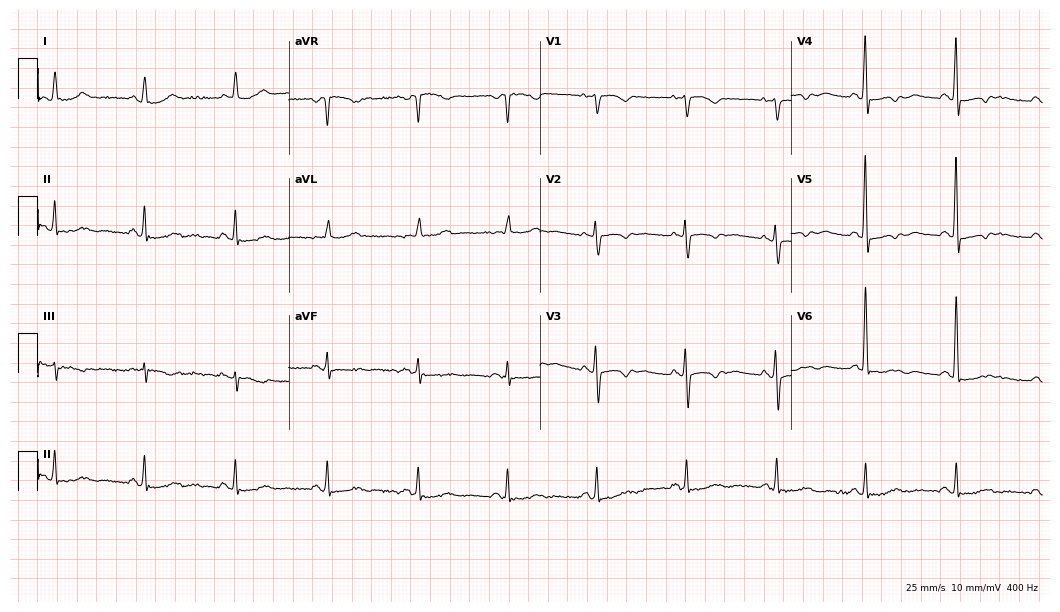
Resting 12-lead electrocardiogram (10.2-second recording at 400 Hz). Patient: an 83-year-old female. None of these six findings is recorded: first-degree AV block, right bundle branch block, left bundle branch block, sinus bradycardia, atrial fibrillation, sinus tachycardia. Only these six findings were labelled.